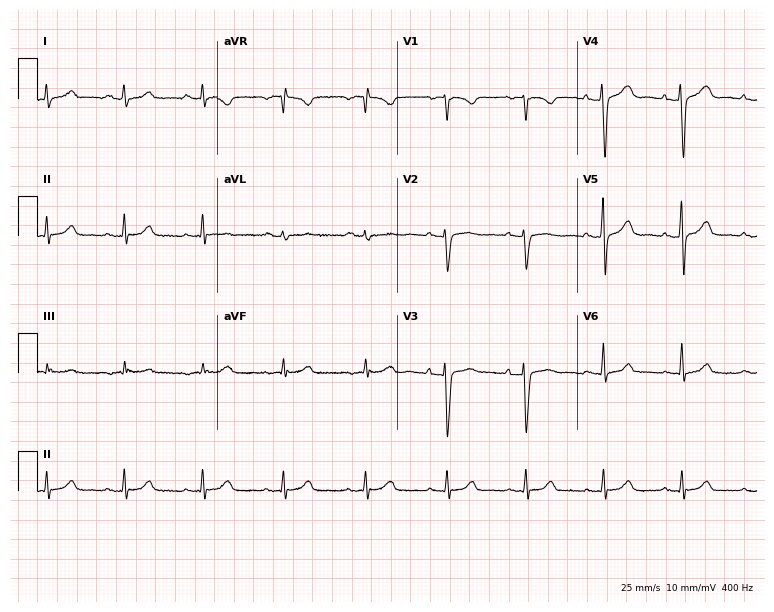
ECG — a female patient, 39 years old. Labelled as a normal ECG.